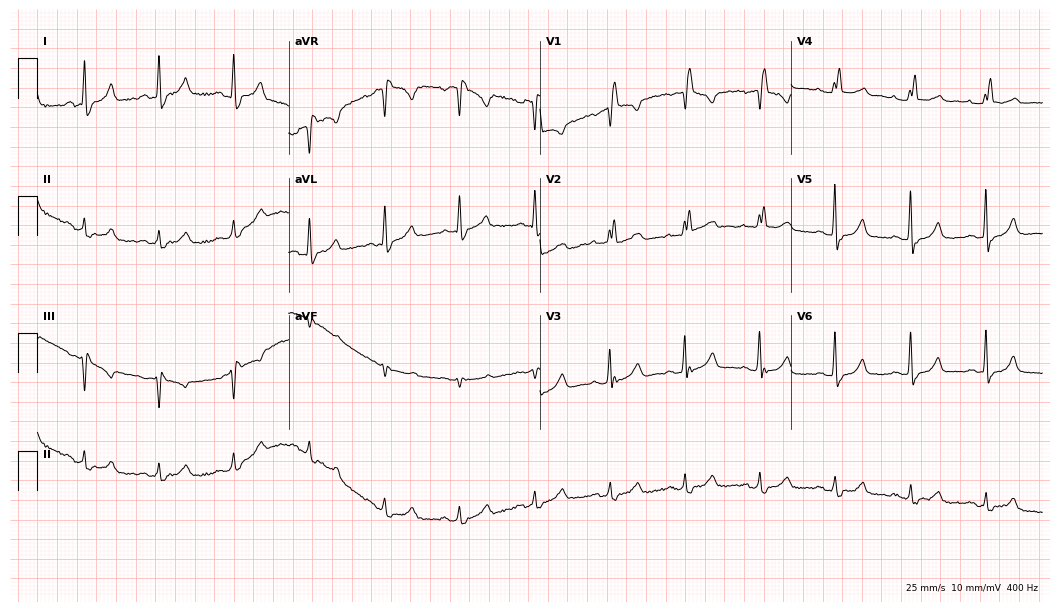
Resting 12-lead electrocardiogram (10.2-second recording at 400 Hz). Patient: a female, 53 years old. The tracing shows right bundle branch block.